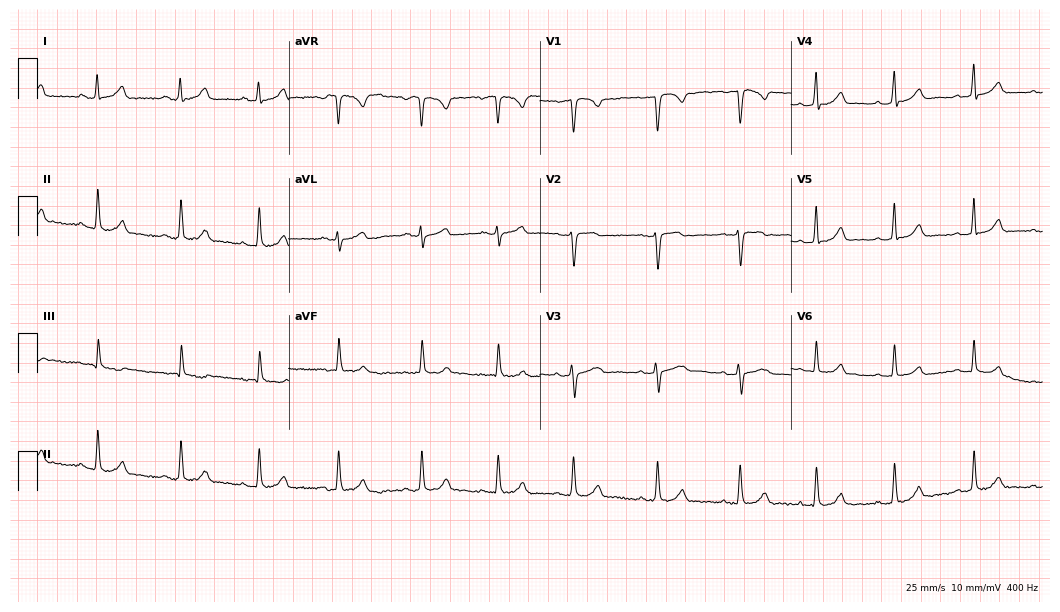
ECG — a female, 24 years old. Labelled as a normal ECG.